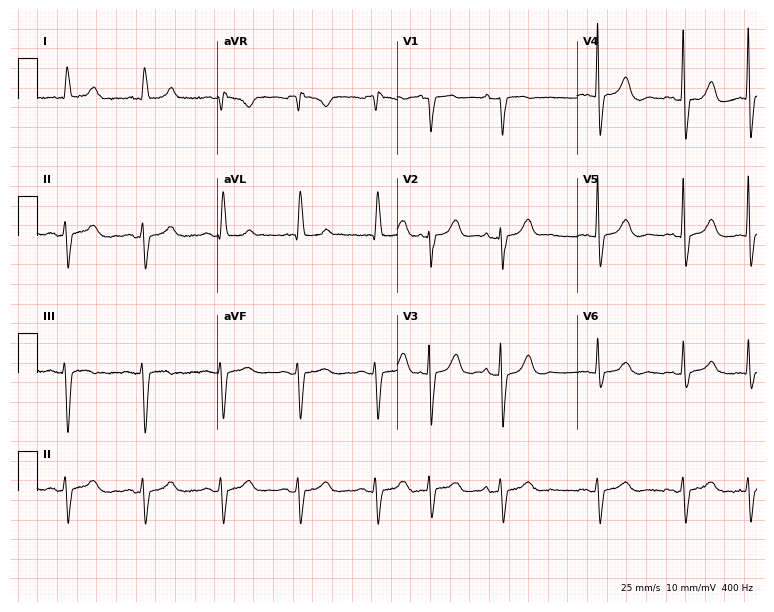
12-lead ECG (7.3-second recording at 400 Hz) from an 83-year-old female patient. Screened for six findings — first-degree AV block, right bundle branch block, left bundle branch block, sinus bradycardia, atrial fibrillation, sinus tachycardia — none is recorded. Other findings, if any, are not listed.